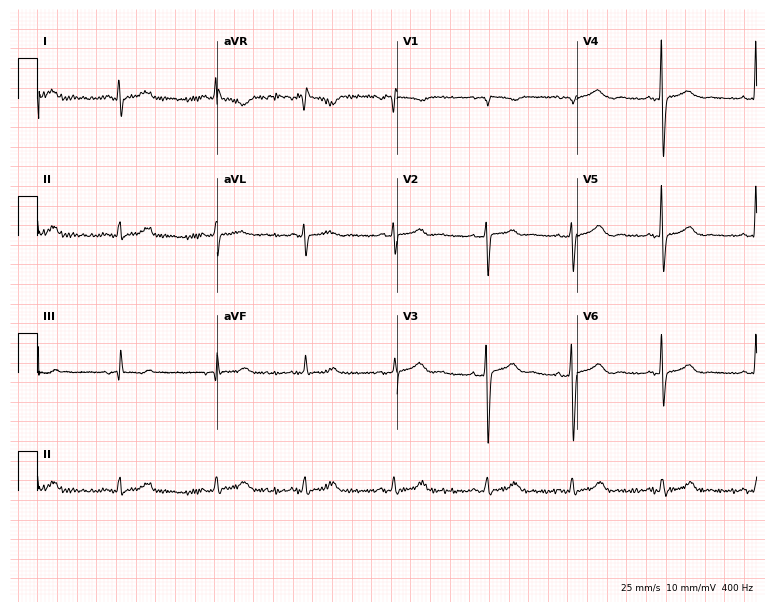
Resting 12-lead electrocardiogram (7.3-second recording at 400 Hz). Patient: a 43-year-old female. Read as a normal ECG.